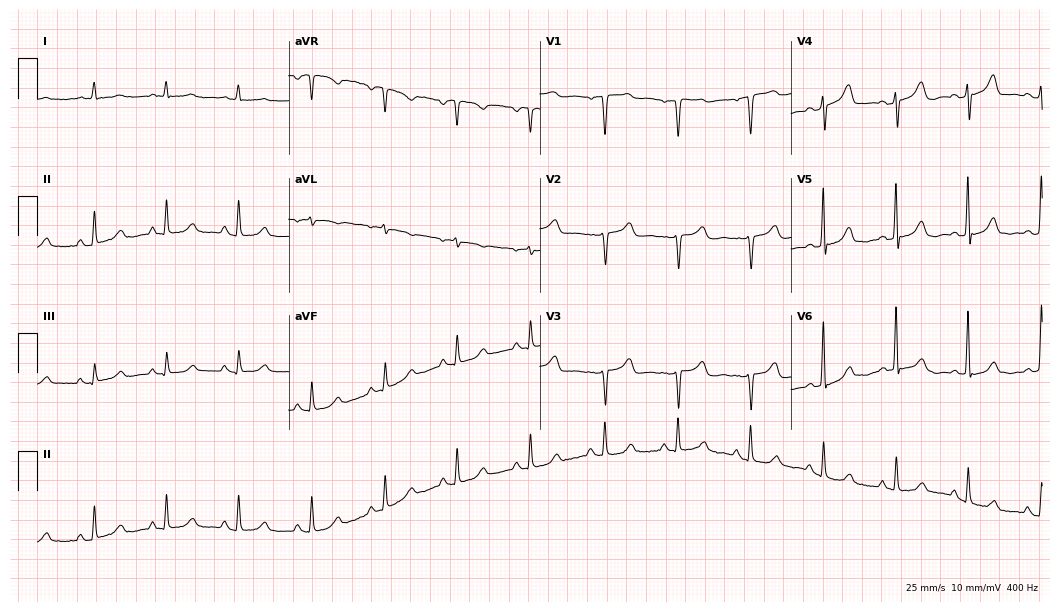
12-lead ECG from a 72-year-old woman (10.2-second recording at 400 Hz). No first-degree AV block, right bundle branch block (RBBB), left bundle branch block (LBBB), sinus bradycardia, atrial fibrillation (AF) or sinus tachycardia recorded for this tracing.